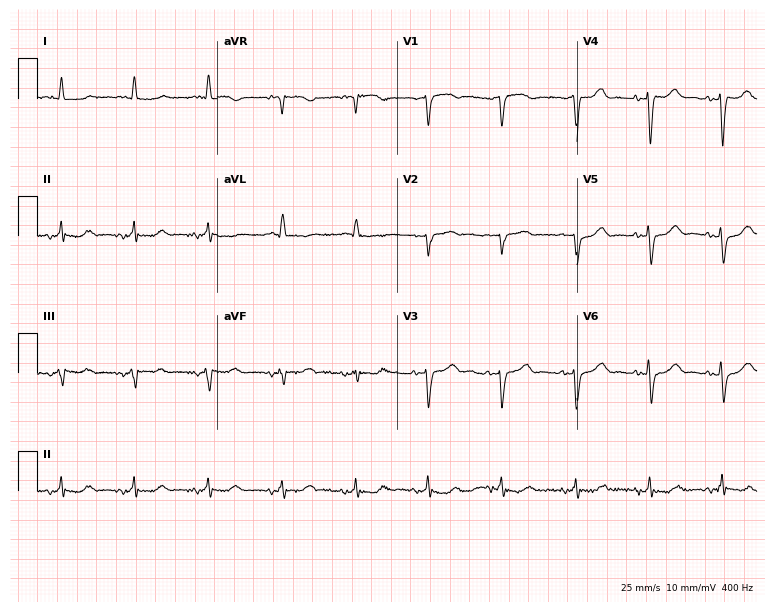
Resting 12-lead electrocardiogram. Patient: an 81-year-old male. None of these six findings is recorded: first-degree AV block, right bundle branch block (RBBB), left bundle branch block (LBBB), sinus bradycardia, atrial fibrillation (AF), sinus tachycardia. Findings outside these six are not listed.